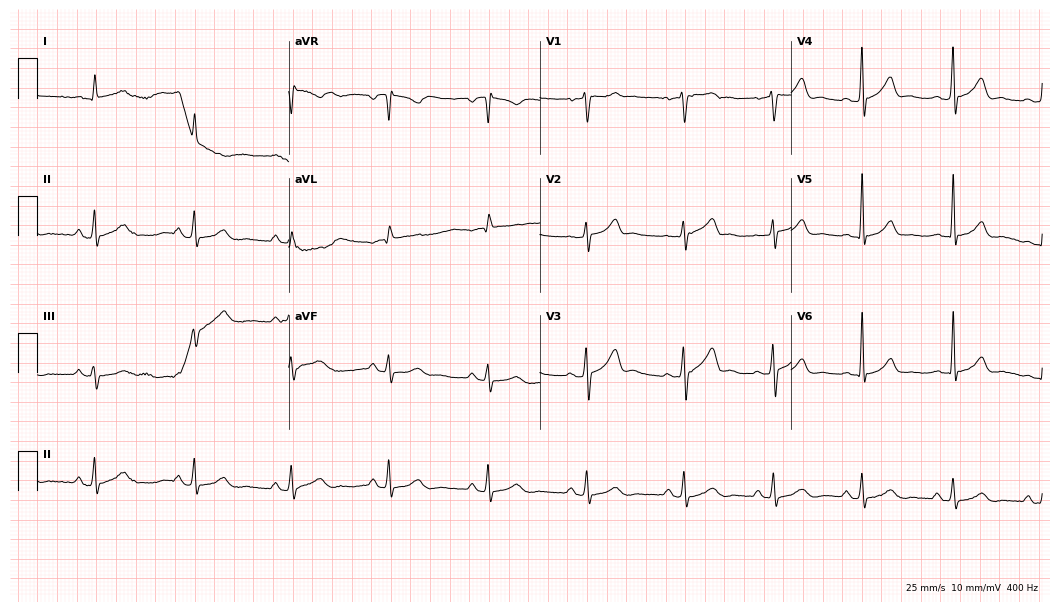
12-lead ECG from a 54-year-old male patient. Labelled as a normal ECG.